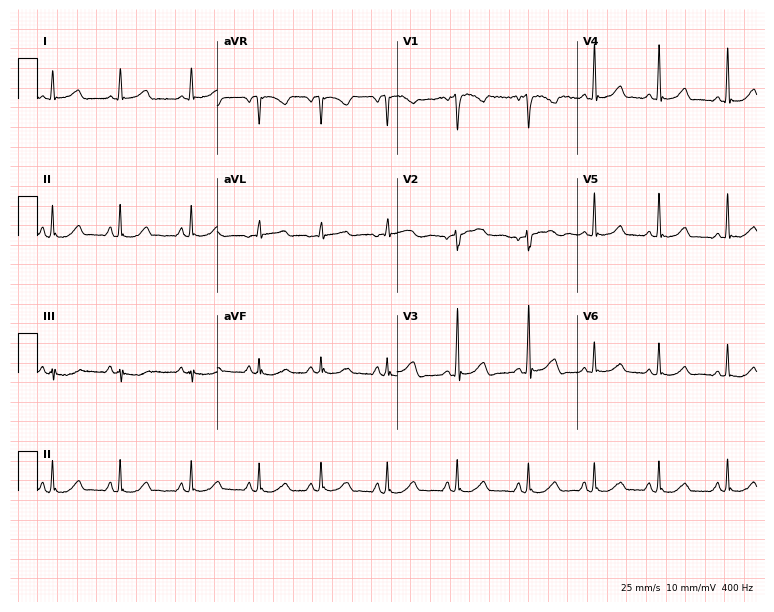
Resting 12-lead electrocardiogram. Patient: a female, 42 years old. Read as a normal ECG.